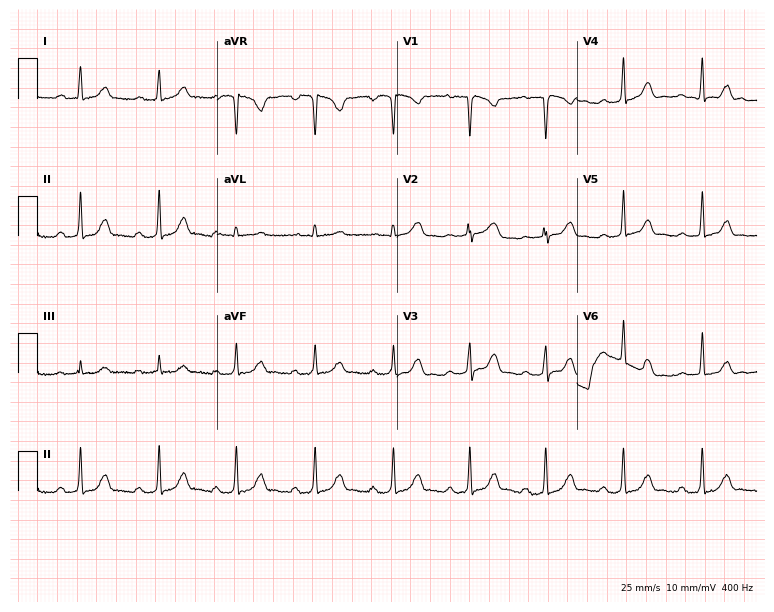
Resting 12-lead electrocardiogram (7.3-second recording at 400 Hz). Patient: a 29-year-old female. Read as a normal ECG.